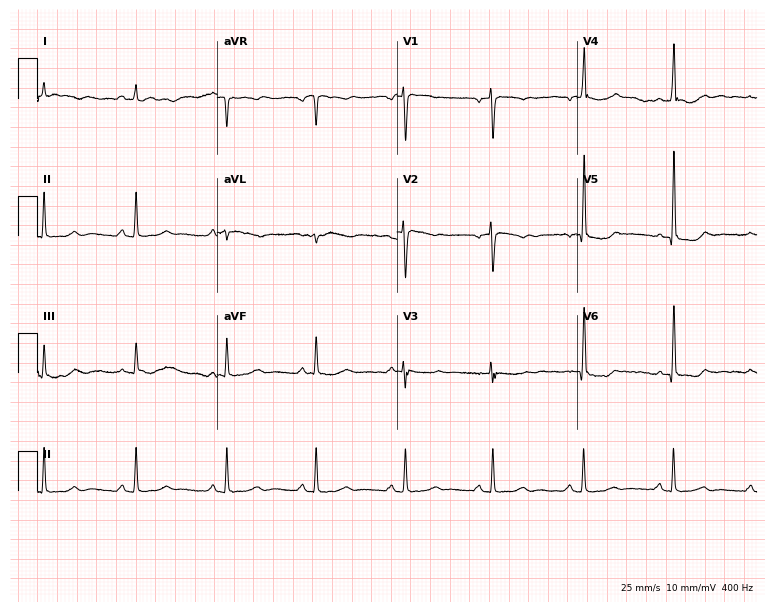
ECG (7.3-second recording at 400 Hz) — a female patient, 48 years old. Screened for six findings — first-degree AV block, right bundle branch block (RBBB), left bundle branch block (LBBB), sinus bradycardia, atrial fibrillation (AF), sinus tachycardia — none is recorded.